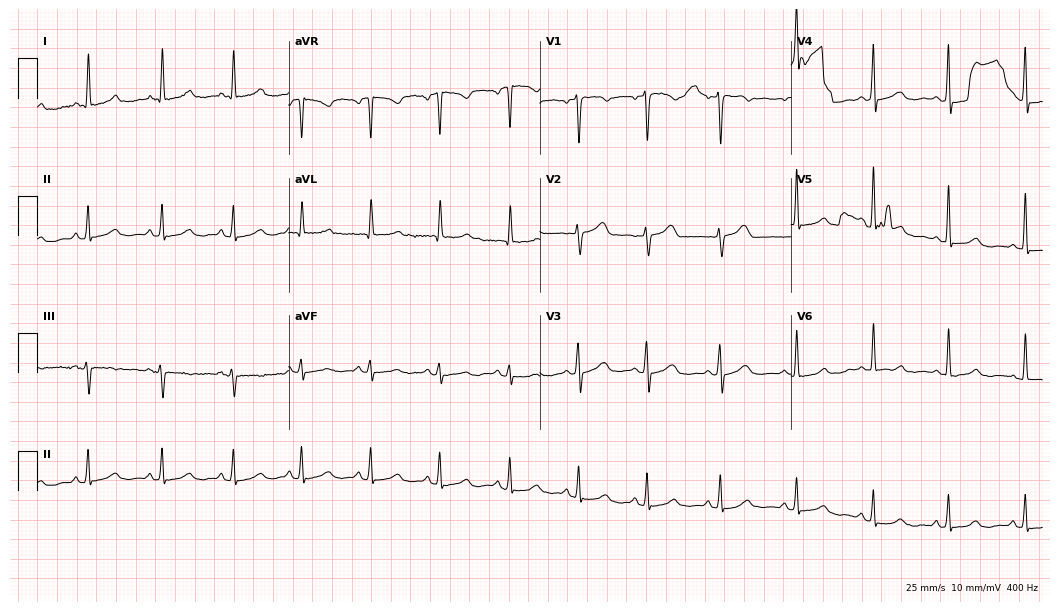
12-lead ECG from a 44-year-old female patient (10.2-second recording at 400 Hz). No first-degree AV block, right bundle branch block (RBBB), left bundle branch block (LBBB), sinus bradycardia, atrial fibrillation (AF) or sinus tachycardia recorded for this tracing. Only these six findings were labelled.